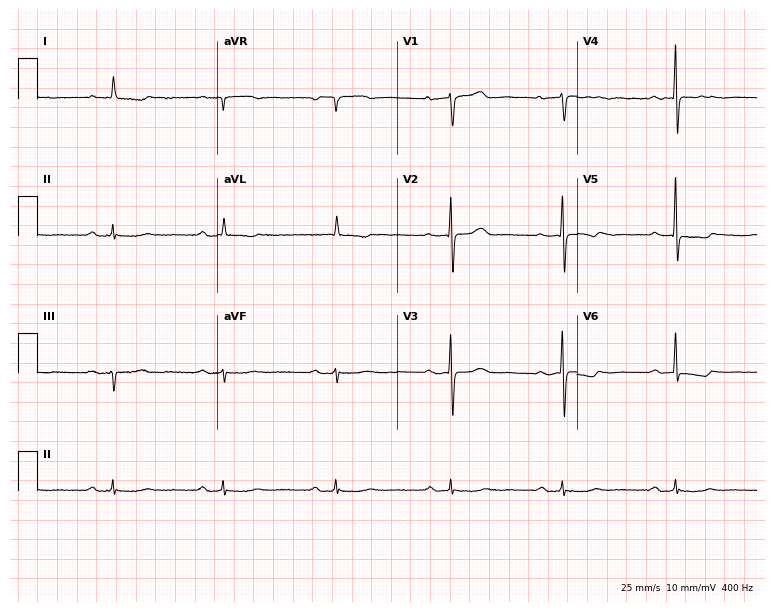
12-lead ECG from a woman, 74 years old (7.3-second recording at 400 Hz). Shows first-degree AV block.